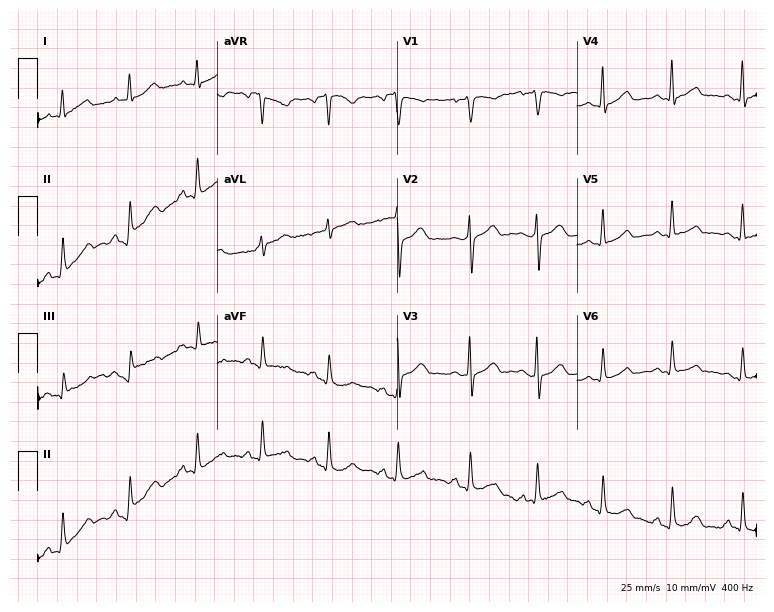
12-lead ECG from a 52-year-old woman. Screened for six findings — first-degree AV block, right bundle branch block, left bundle branch block, sinus bradycardia, atrial fibrillation, sinus tachycardia — none is recorded. Only these six findings were labelled.